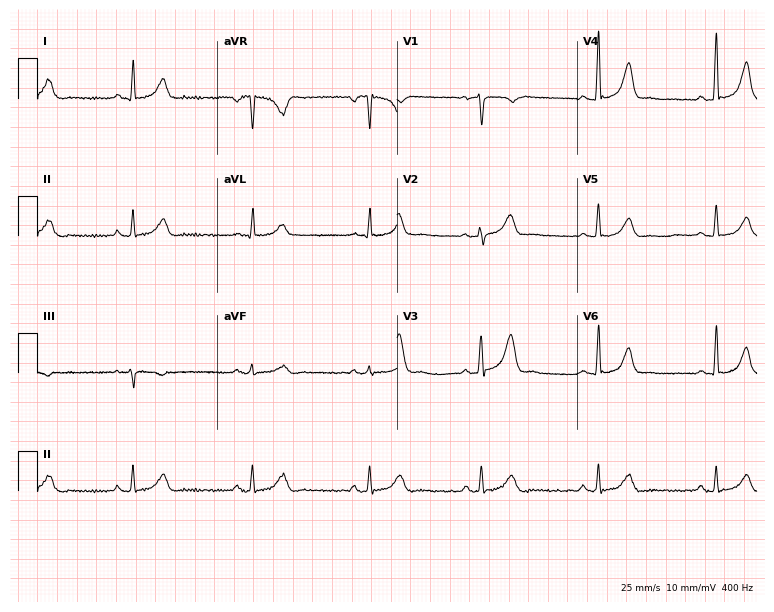
12-lead ECG (7.3-second recording at 400 Hz) from a 36-year-old female patient. Screened for six findings — first-degree AV block, right bundle branch block, left bundle branch block, sinus bradycardia, atrial fibrillation, sinus tachycardia — none is recorded. Other findings, if any, are not listed.